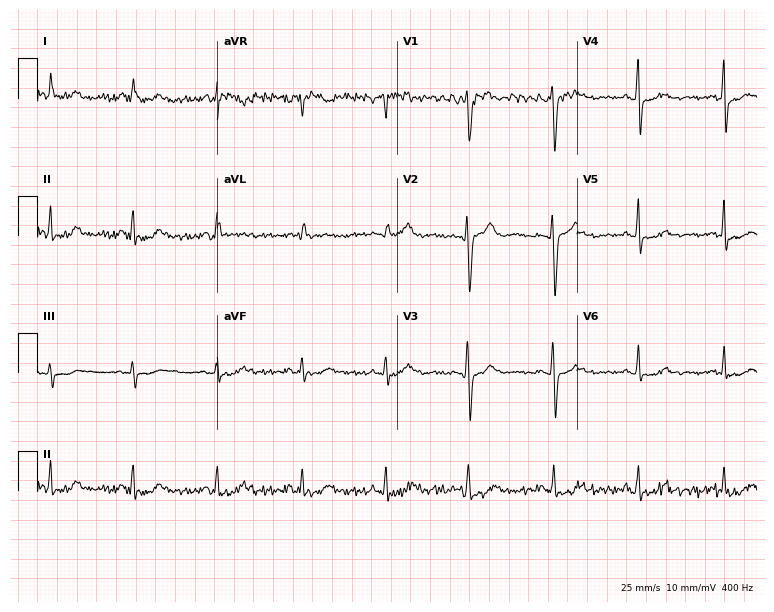
Standard 12-lead ECG recorded from a woman, 47 years old. None of these six findings is recorded: first-degree AV block, right bundle branch block, left bundle branch block, sinus bradycardia, atrial fibrillation, sinus tachycardia.